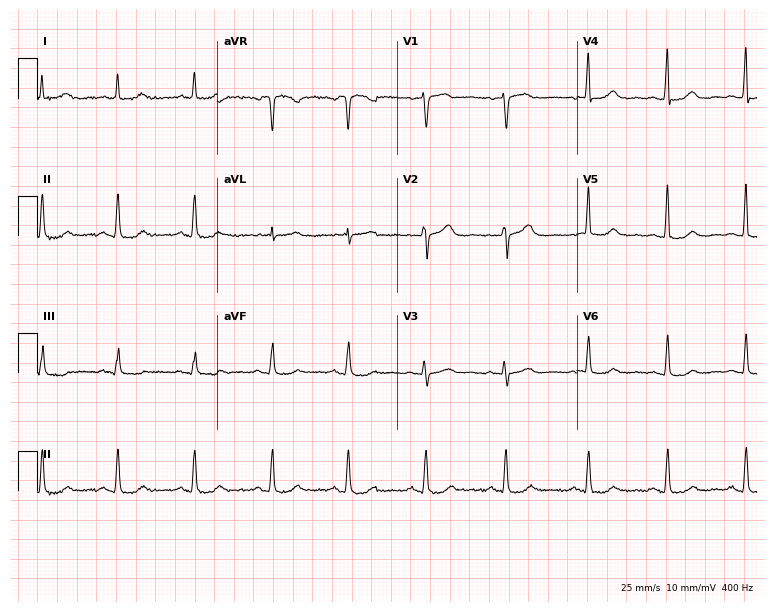
Standard 12-lead ECG recorded from a 77-year-old female (7.3-second recording at 400 Hz). Read as a normal ECG.